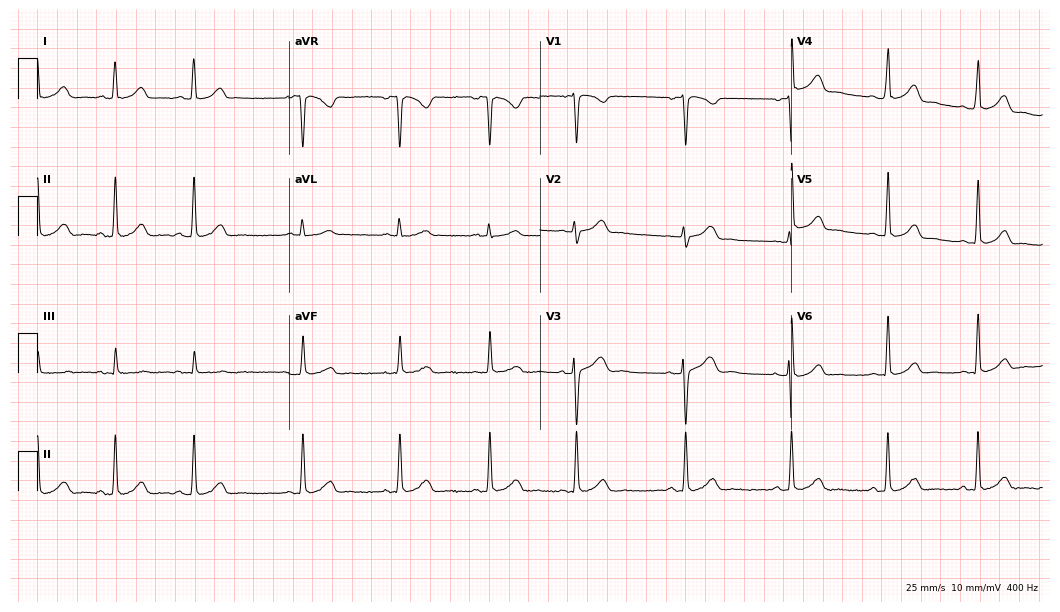
12-lead ECG (10.2-second recording at 400 Hz) from a woman, 27 years old. Labelled as a normal ECG.